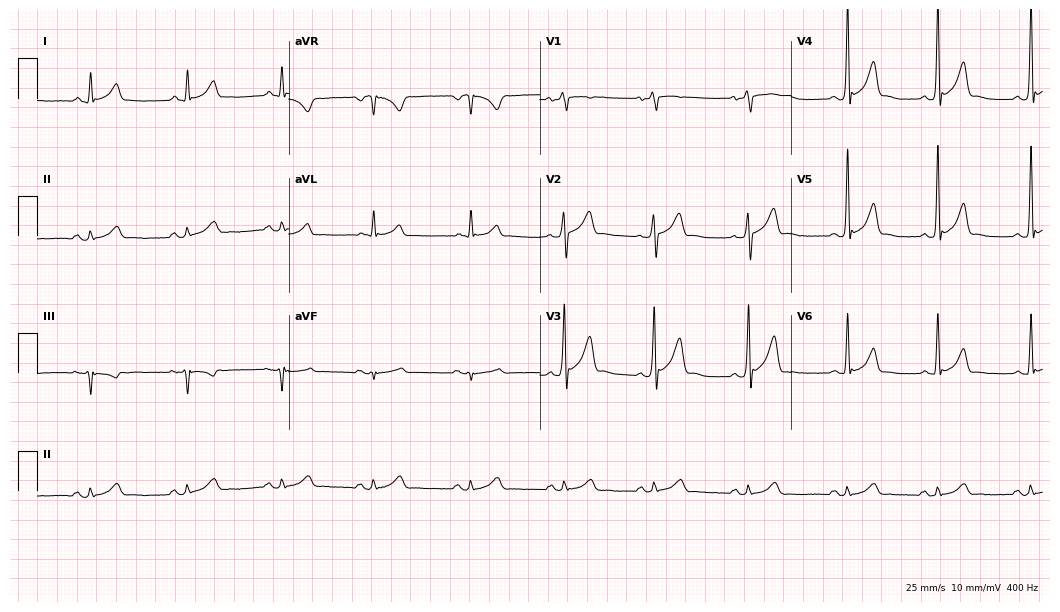
12-lead ECG from a 46-year-old male. Labelled as a normal ECG.